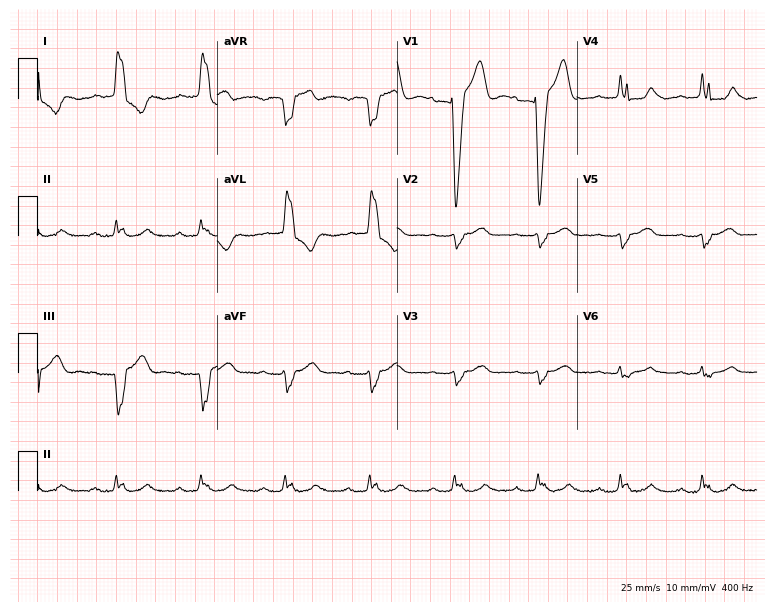
Electrocardiogram (7.3-second recording at 400 Hz), a female, 85 years old. Interpretation includes left bundle branch block.